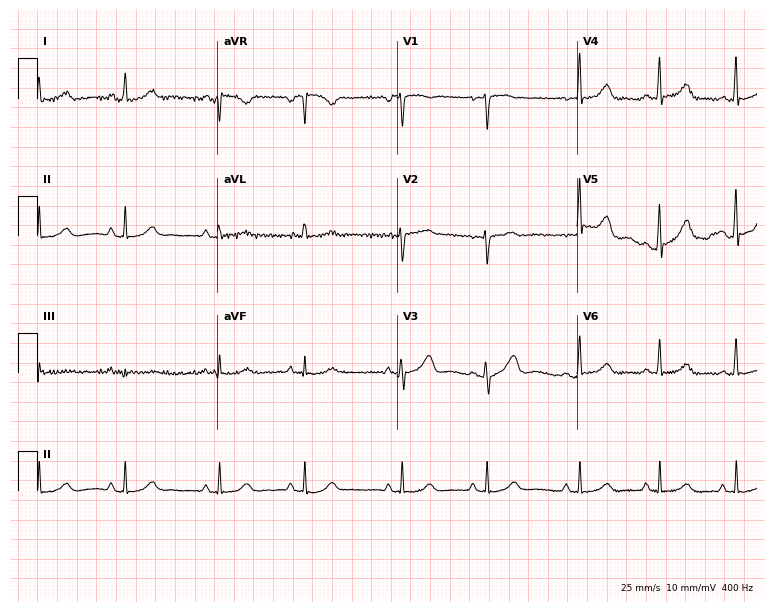
ECG — a 41-year-old female. Labelled as a normal ECG.